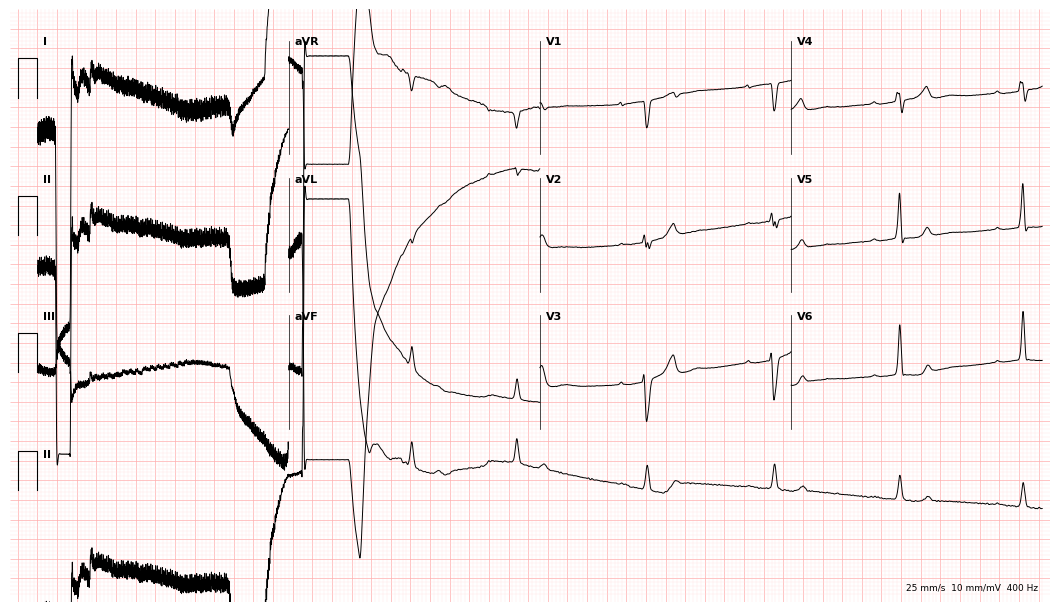
Standard 12-lead ECG recorded from a woman, 83 years old. None of these six findings is recorded: first-degree AV block, right bundle branch block, left bundle branch block, sinus bradycardia, atrial fibrillation, sinus tachycardia.